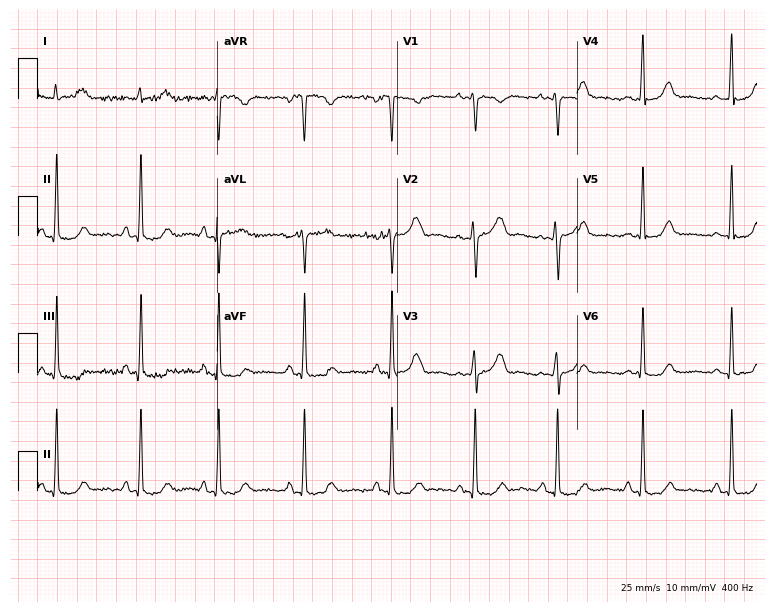
ECG (7.3-second recording at 400 Hz) — a female, 31 years old. Screened for six findings — first-degree AV block, right bundle branch block, left bundle branch block, sinus bradycardia, atrial fibrillation, sinus tachycardia — none is recorded.